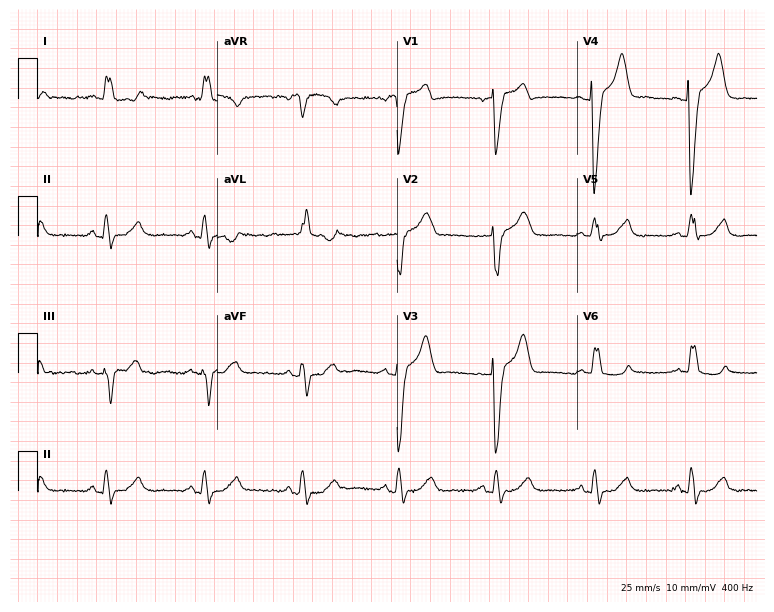
Standard 12-lead ECG recorded from an 80-year-old female (7.3-second recording at 400 Hz). The tracing shows left bundle branch block (LBBB).